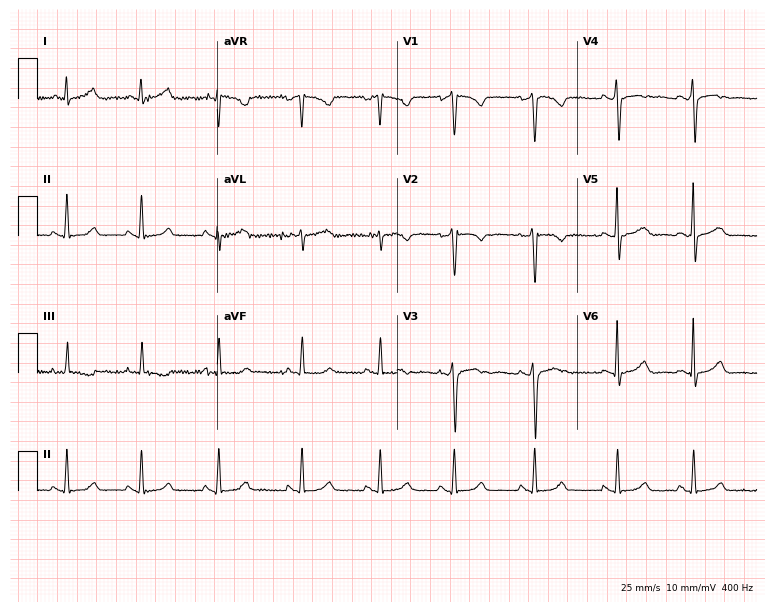
12-lead ECG (7.3-second recording at 400 Hz) from a 19-year-old female. Screened for six findings — first-degree AV block, right bundle branch block (RBBB), left bundle branch block (LBBB), sinus bradycardia, atrial fibrillation (AF), sinus tachycardia — none is recorded. Findings outside these six are not listed.